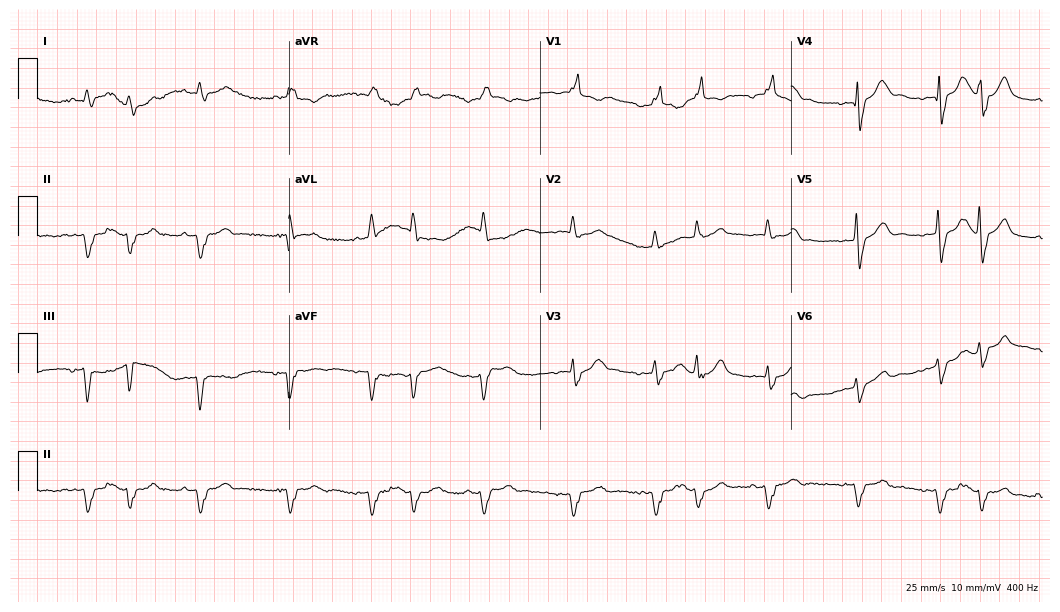
Standard 12-lead ECG recorded from a man, 81 years old. None of these six findings is recorded: first-degree AV block, right bundle branch block, left bundle branch block, sinus bradycardia, atrial fibrillation, sinus tachycardia.